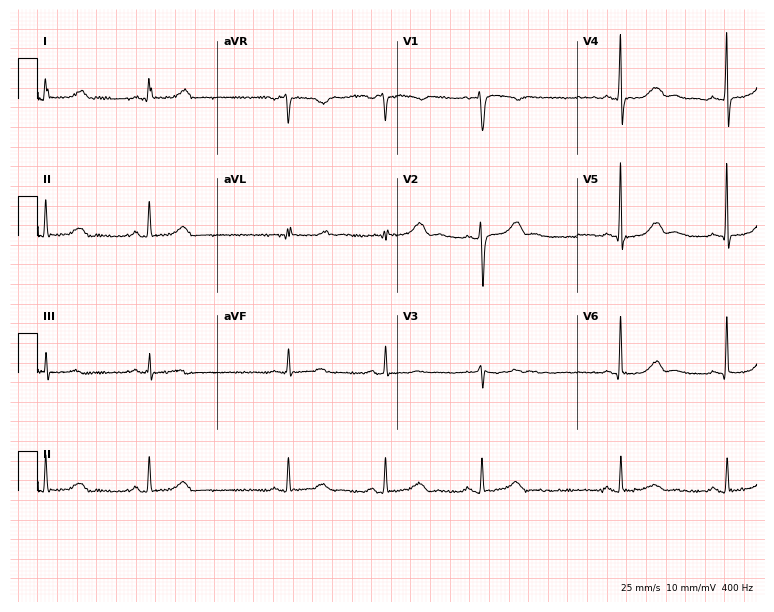
Standard 12-lead ECG recorded from a 36-year-old female. None of these six findings is recorded: first-degree AV block, right bundle branch block, left bundle branch block, sinus bradycardia, atrial fibrillation, sinus tachycardia. Findings outside these six are not listed.